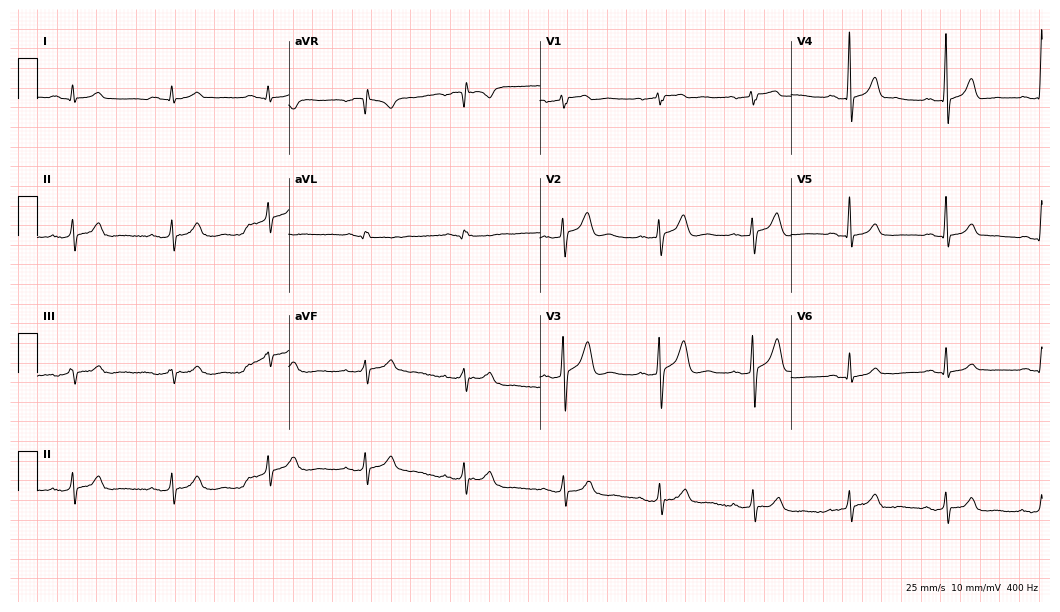
12-lead ECG from a male patient, 44 years old. Labelled as a normal ECG.